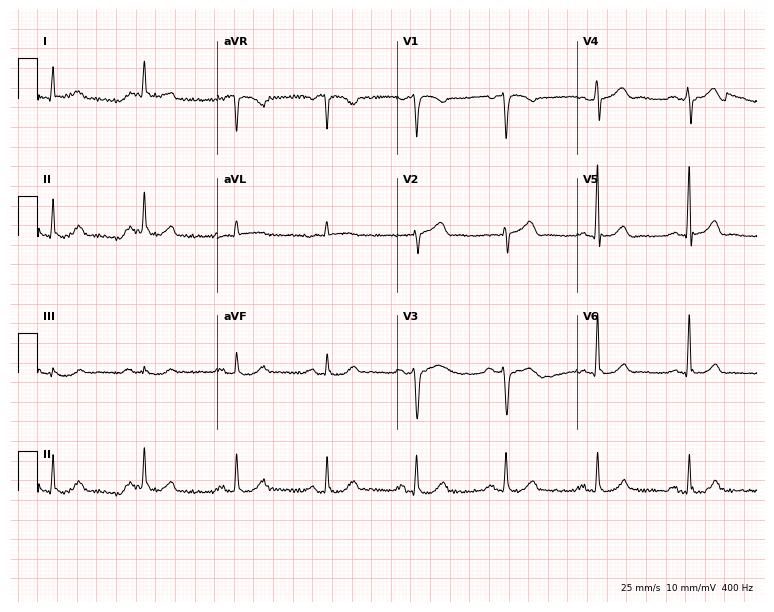
Resting 12-lead electrocardiogram. Patient: a male, 73 years old. None of these six findings is recorded: first-degree AV block, right bundle branch block, left bundle branch block, sinus bradycardia, atrial fibrillation, sinus tachycardia. Only these six findings were labelled.